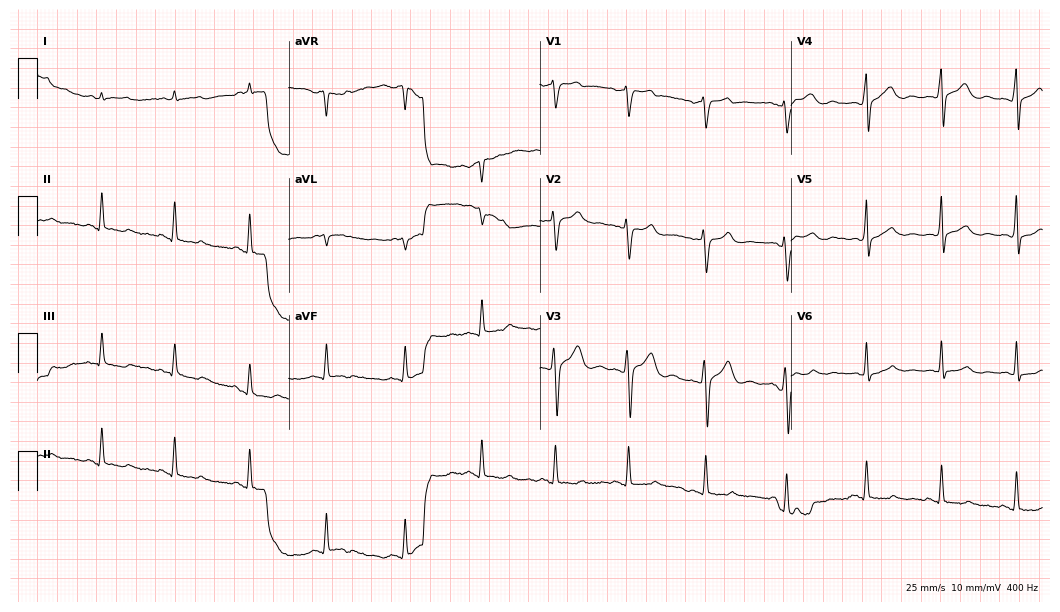
ECG — a male, 24 years old. Screened for six findings — first-degree AV block, right bundle branch block (RBBB), left bundle branch block (LBBB), sinus bradycardia, atrial fibrillation (AF), sinus tachycardia — none is recorded.